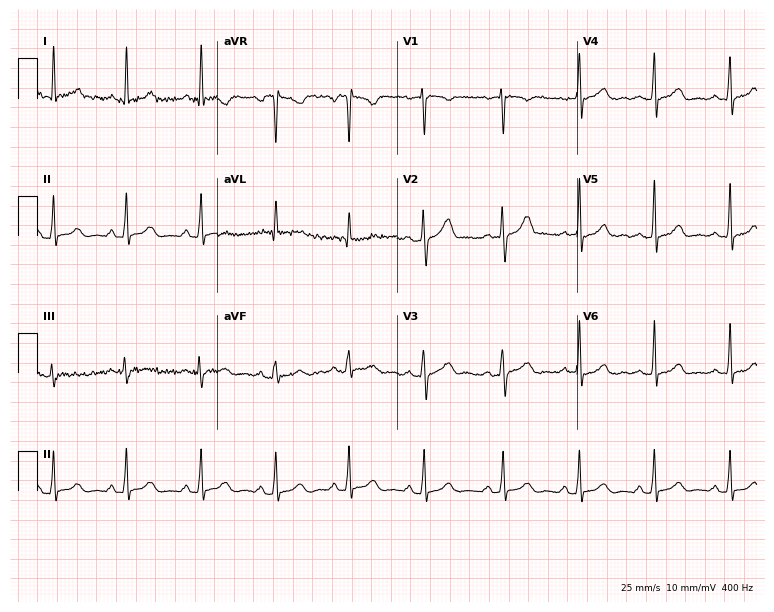
Standard 12-lead ECG recorded from a female, 38 years old. Read as a normal ECG.